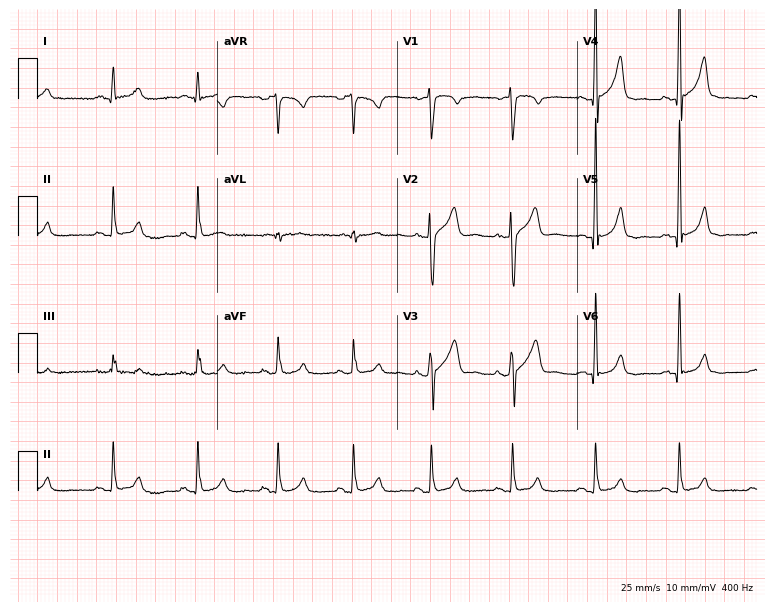
12-lead ECG from a male, 52 years old. Recorded interpretation: within normal limits.